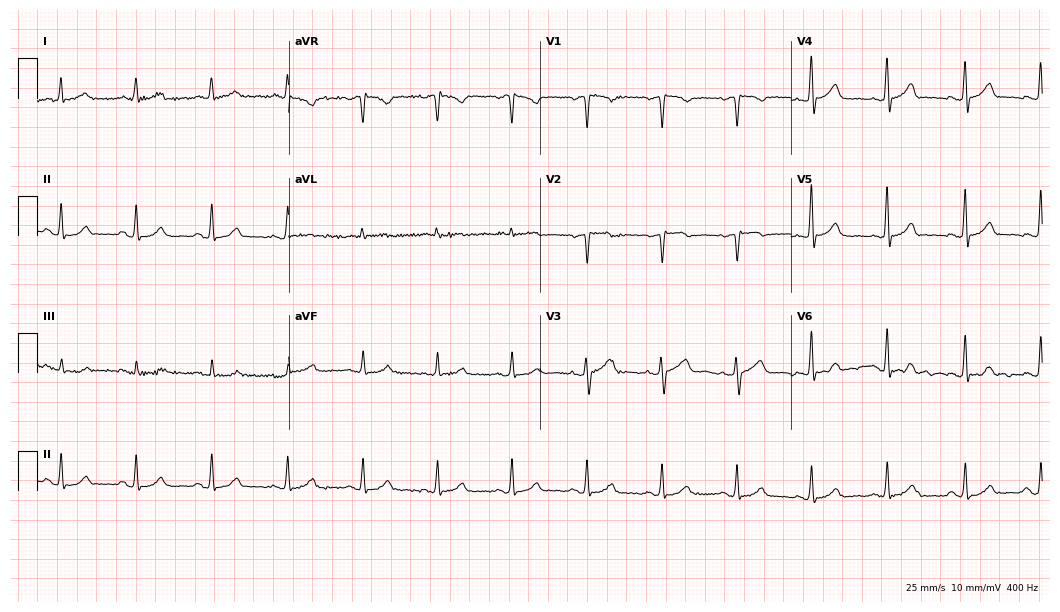
12-lead ECG (10.2-second recording at 400 Hz) from a 55-year-old female patient. Labelled as a normal ECG.